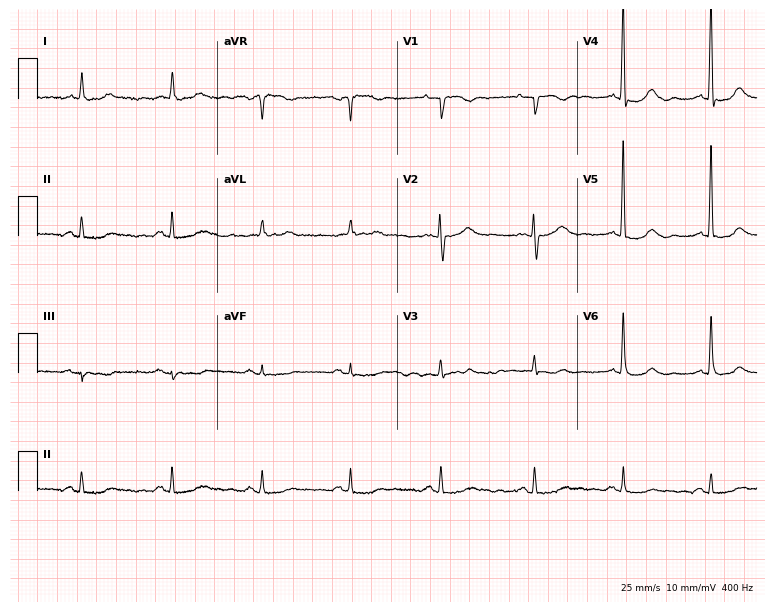
12-lead ECG from a female, 76 years old. Labelled as a normal ECG.